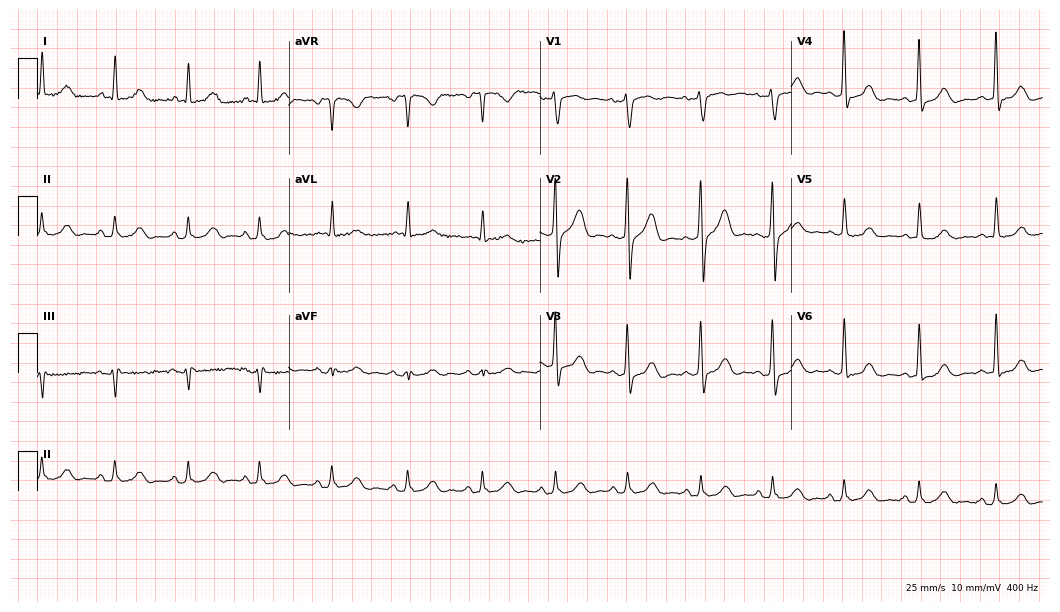
Standard 12-lead ECG recorded from a 54-year-old male patient. Read as a normal ECG.